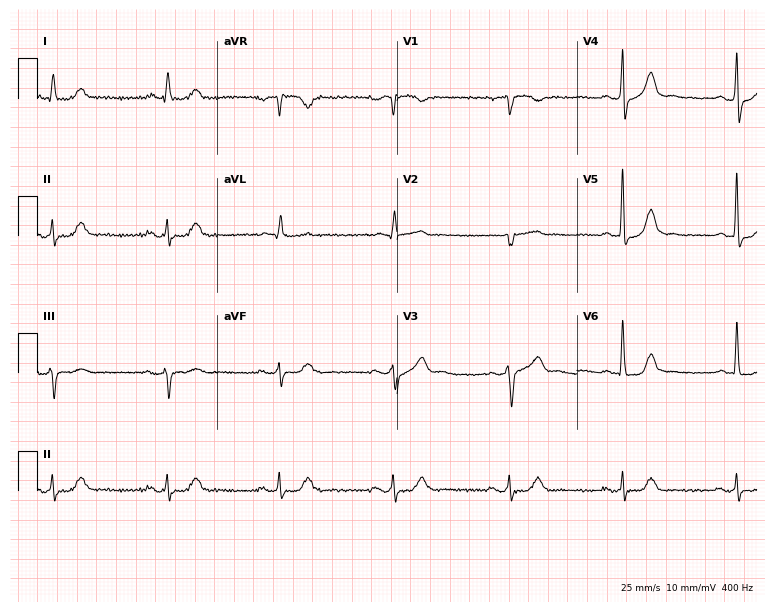
12-lead ECG from a male, 71 years old. Labelled as a normal ECG.